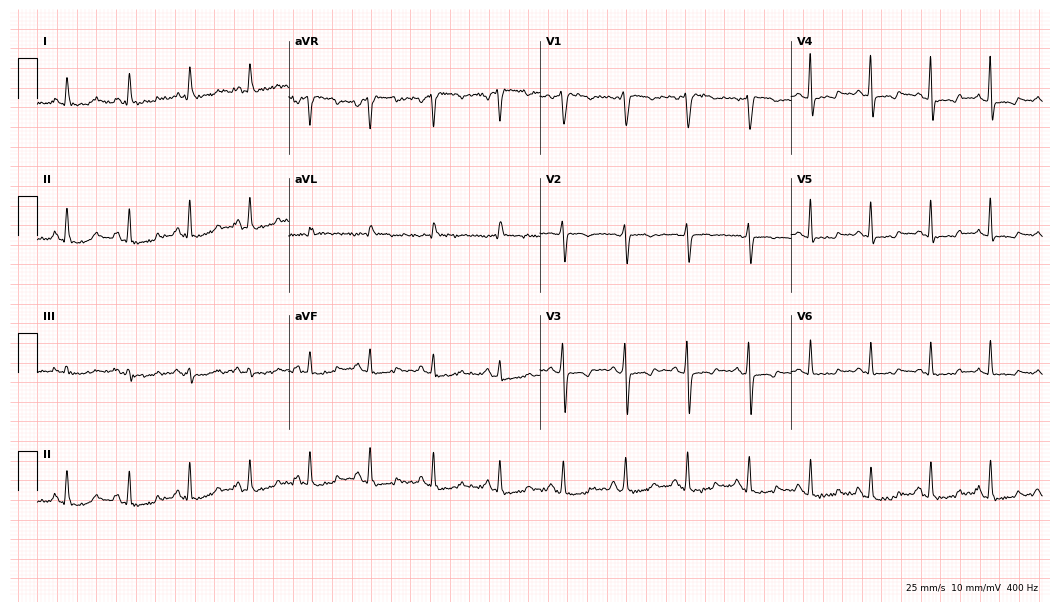
Electrocardiogram, a 43-year-old woman. Of the six screened findings (first-degree AV block, right bundle branch block, left bundle branch block, sinus bradycardia, atrial fibrillation, sinus tachycardia), none is recorded.